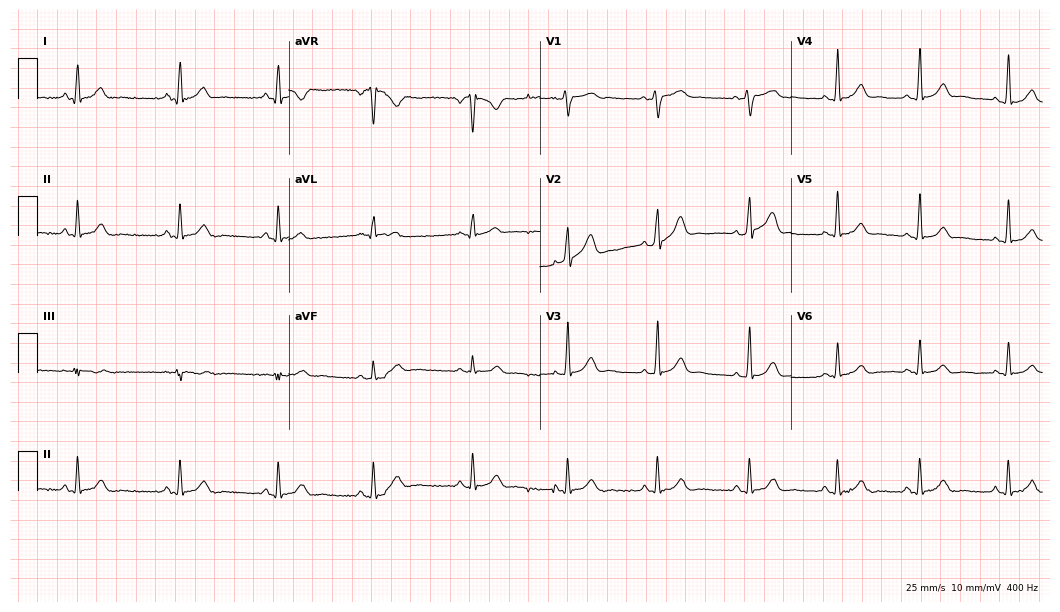
ECG (10.2-second recording at 400 Hz) — a female patient, 19 years old. Labelled as a normal ECG.